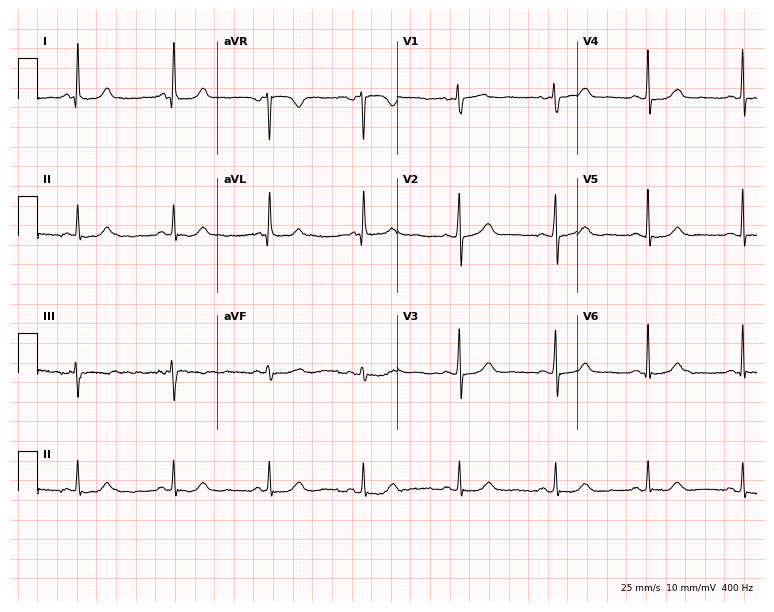
Electrocardiogram (7.3-second recording at 400 Hz), a 63-year-old female patient. Overall reading on record: normal ECG.